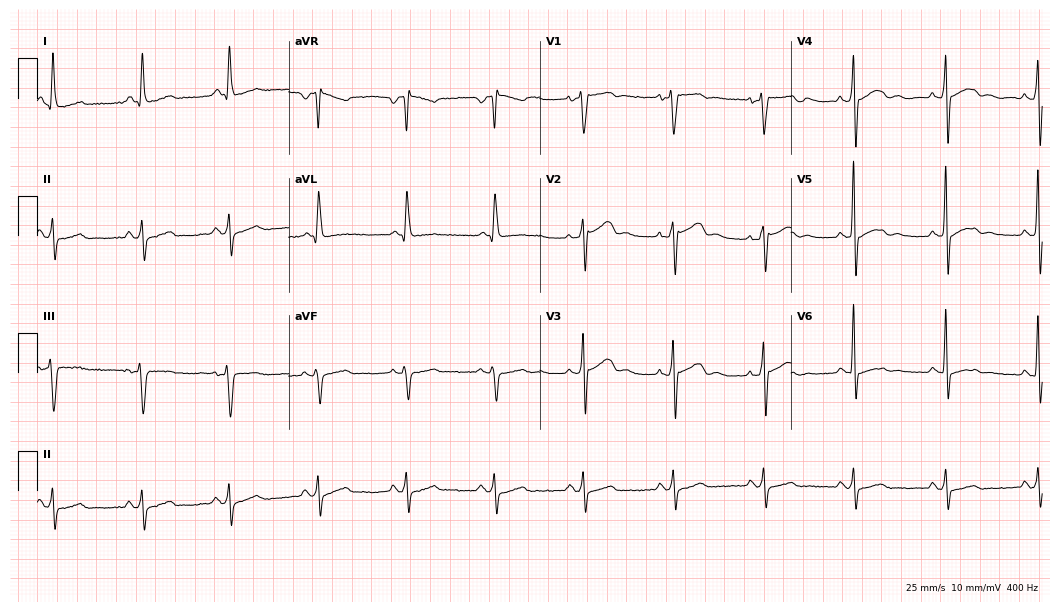
Resting 12-lead electrocardiogram (10.2-second recording at 400 Hz). Patient: a female, 55 years old. None of these six findings is recorded: first-degree AV block, right bundle branch block, left bundle branch block, sinus bradycardia, atrial fibrillation, sinus tachycardia.